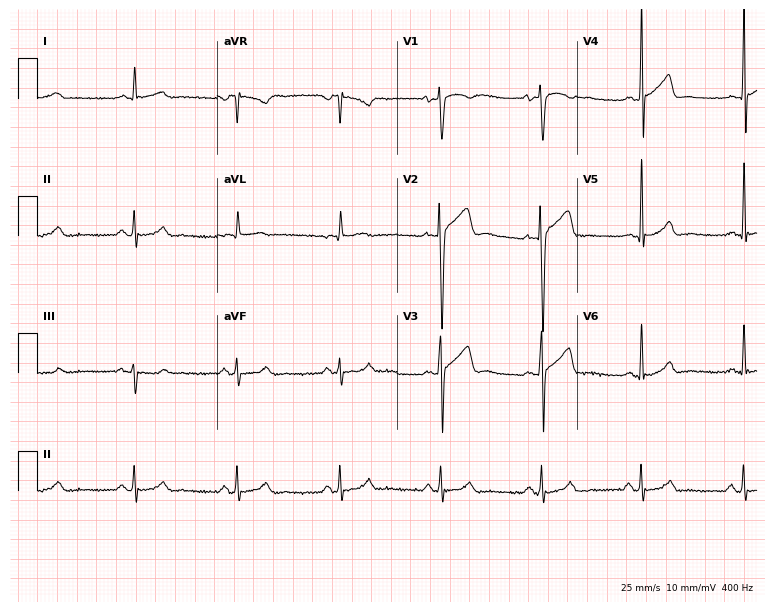
Standard 12-lead ECG recorded from a man, 50 years old (7.3-second recording at 400 Hz). Read as a normal ECG.